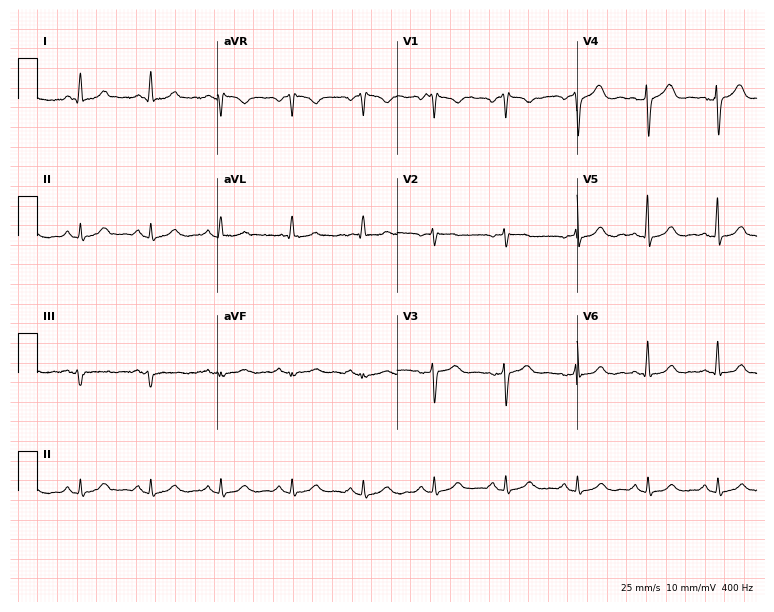
Standard 12-lead ECG recorded from a 51-year-old female patient (7.3-second recording at 400 Hz). None of these six findings is recorded: first-degree AV block, right bundle branch block, left bundle branch block, sinus bradycardia, atrial fibrillation, sinus tachycardia.